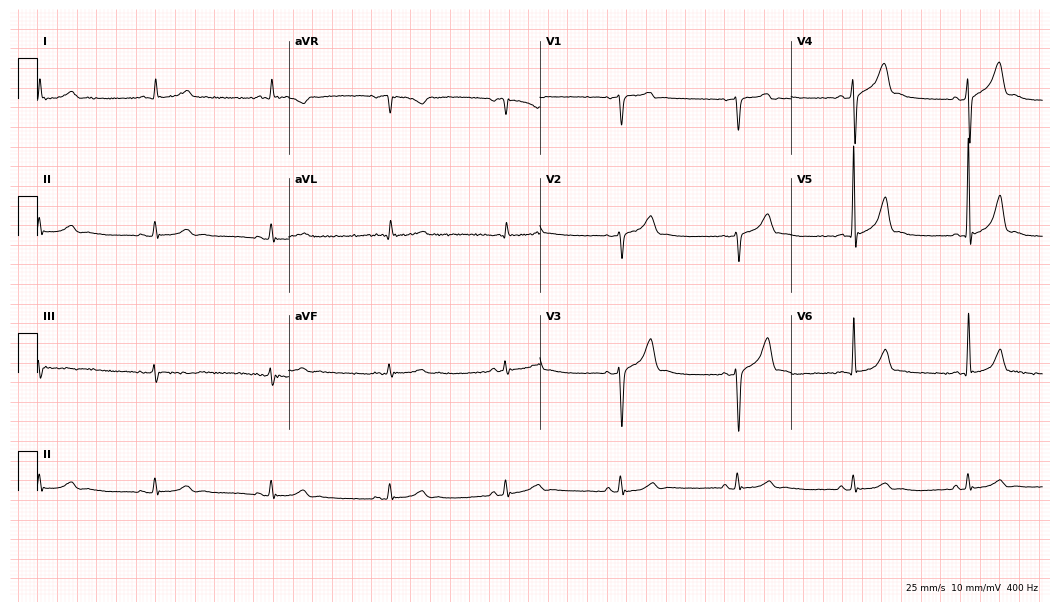
12-lead ECG from a 63-year-old male patient. Screened for six findings — first-degree AV block, right bundle branch block, left bundle branch block, sinus bradycardia, atrial fibrillation, sinus tachycardia — none is recorded. Only these six findings were labelled.